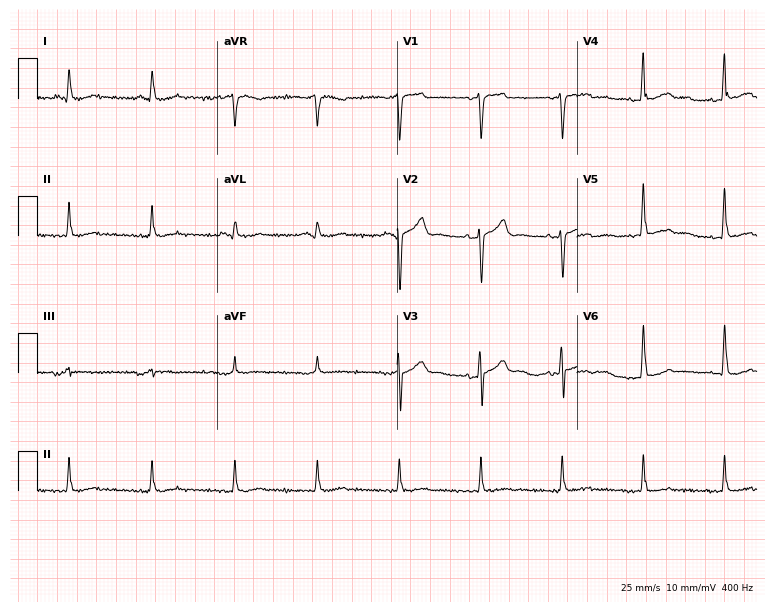
Electrocardiogram, a 63-year-old male patient. Of the six screened findings (first-degree AV block, right bundle branch block, left bundle branch block, sinus bradycardia, atrial fibrillation, sinus tachycardia), none is recorded. Other findings, if any, are not listed.